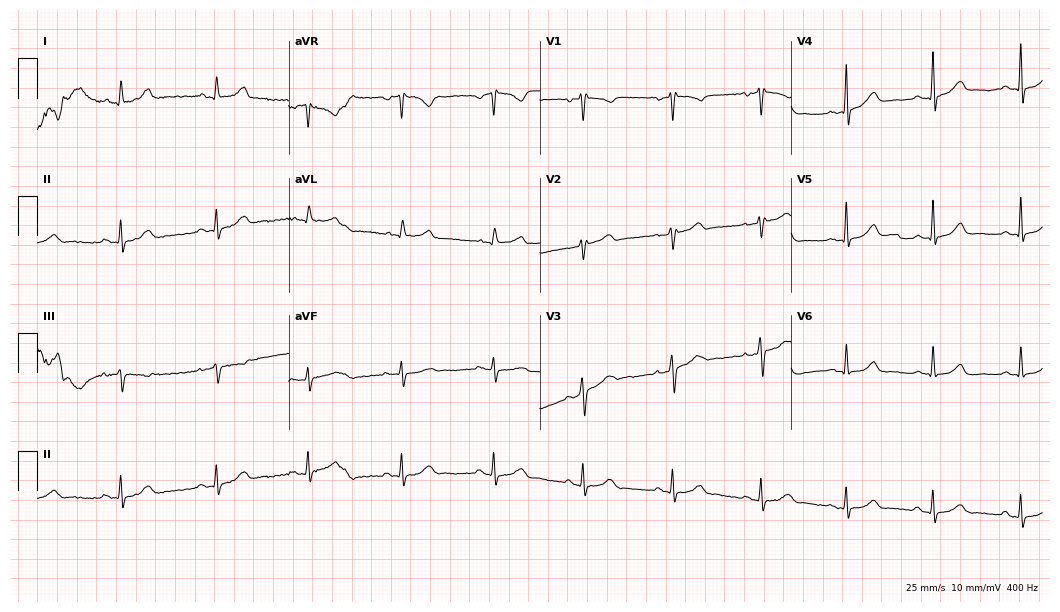
ECG (10.2-second recording at 400 Hz) — a woman, 41 years old. Labelled as a normal ECG.